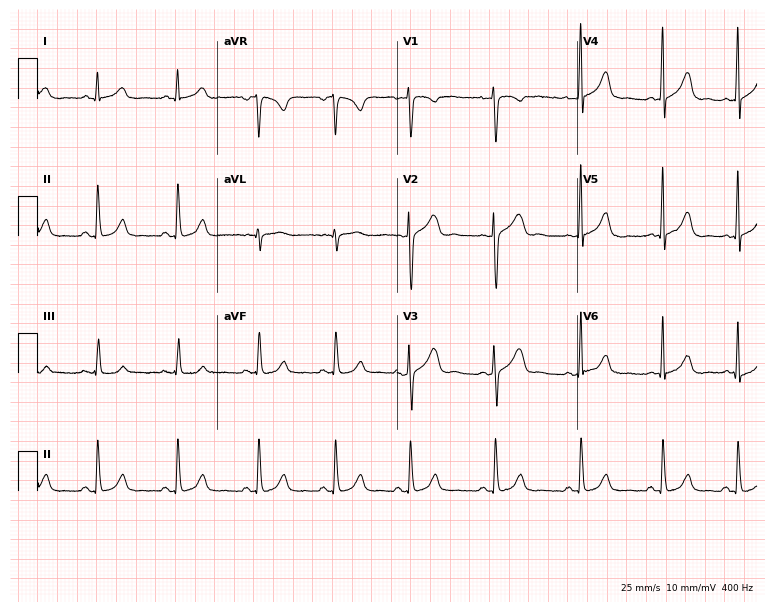
ECG — a 30-year-old female. Labelled as a normal ECG.